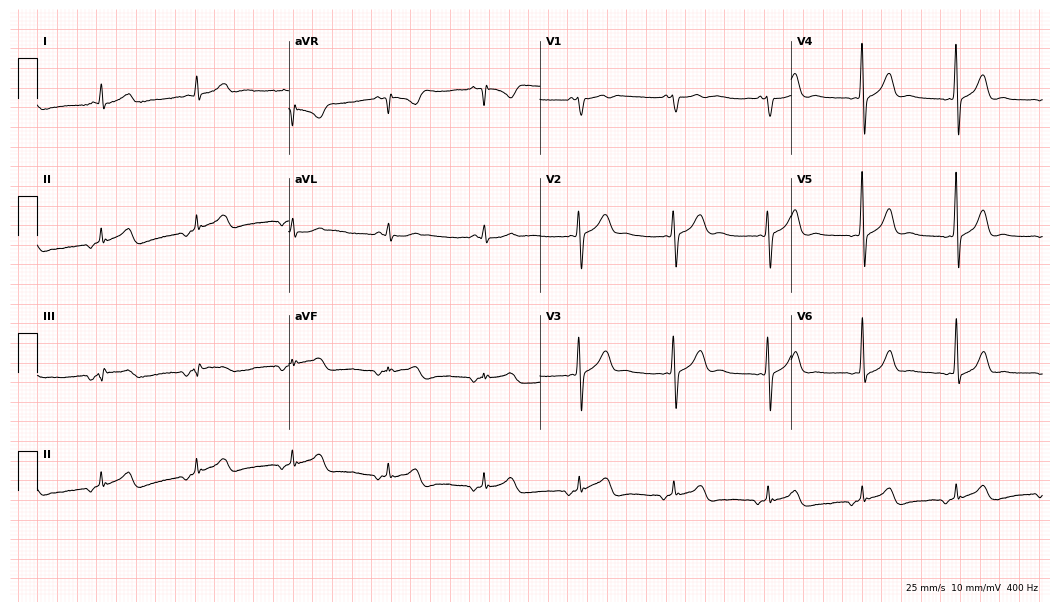
12-lead ECG from a male, 61 years old (10.2-second recording at 400 Hz). Recorded interpretation: within normal limits.